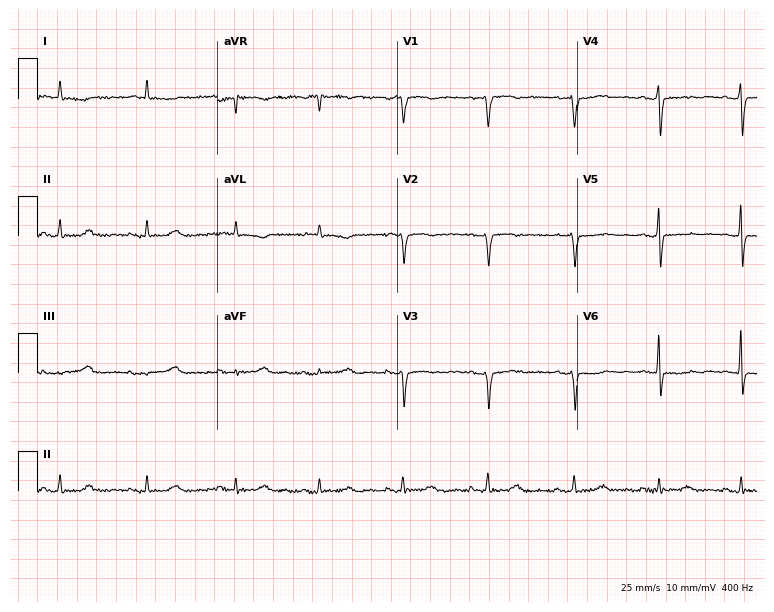
12-lead ECG (7.3-second recording at 400 Hz) from a female patient, 65 years old. Screened for six findings — first-degree AV block, right bundle branch block, left bundle branch block, sinus bradycardia, atrial fibrillation, sinus tachycardia — none is recorded.